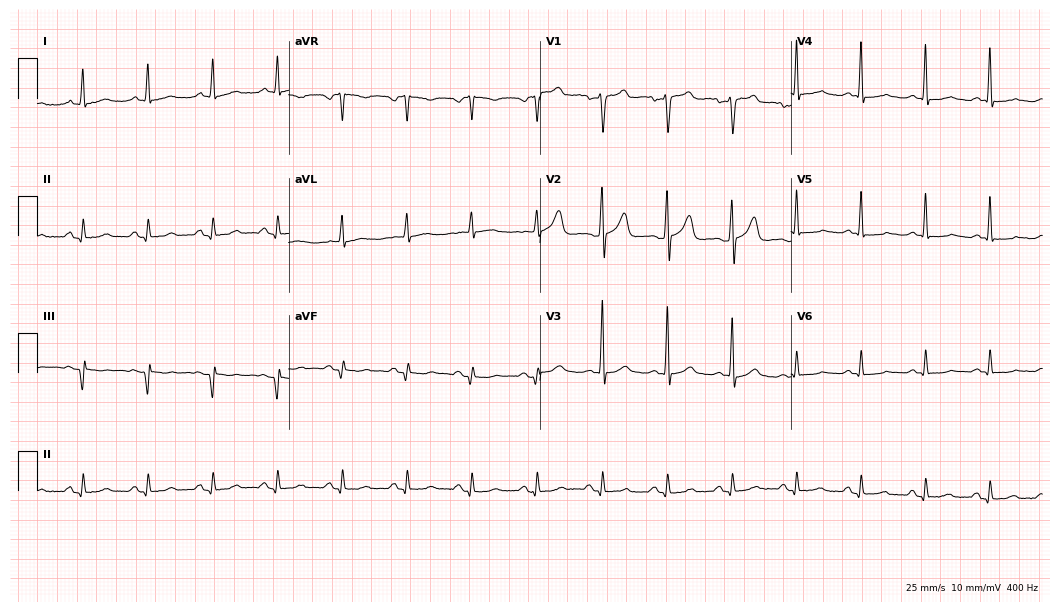
ECG (10.2-second recording at 400 Hz) — a 63-year-old man. Screened for six findings — first-degree AV block, right bundle branch block (RBBB), left bundle branch block (LBBB), sinus bradycardia, atrial fibrillation (AF), sinus tachycardia — none is recorded. Only these six findings were labelled.